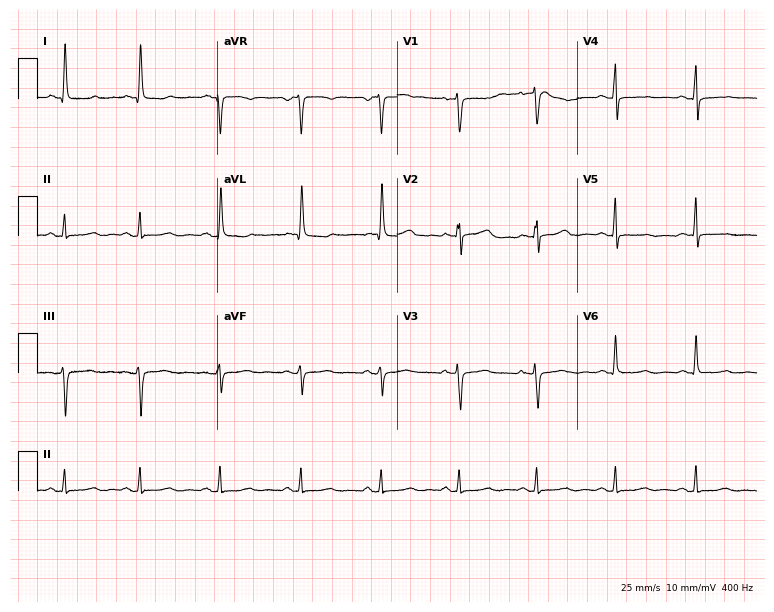
12-lead ECG from a 67-year-old female. Screened for six findings — first-degree AV block, right bundle branch block, left bundle branch block, sinus bradycardia, atrial fibrillation, sinus tachycardia — none is recorded. Only these six findings were labelled.